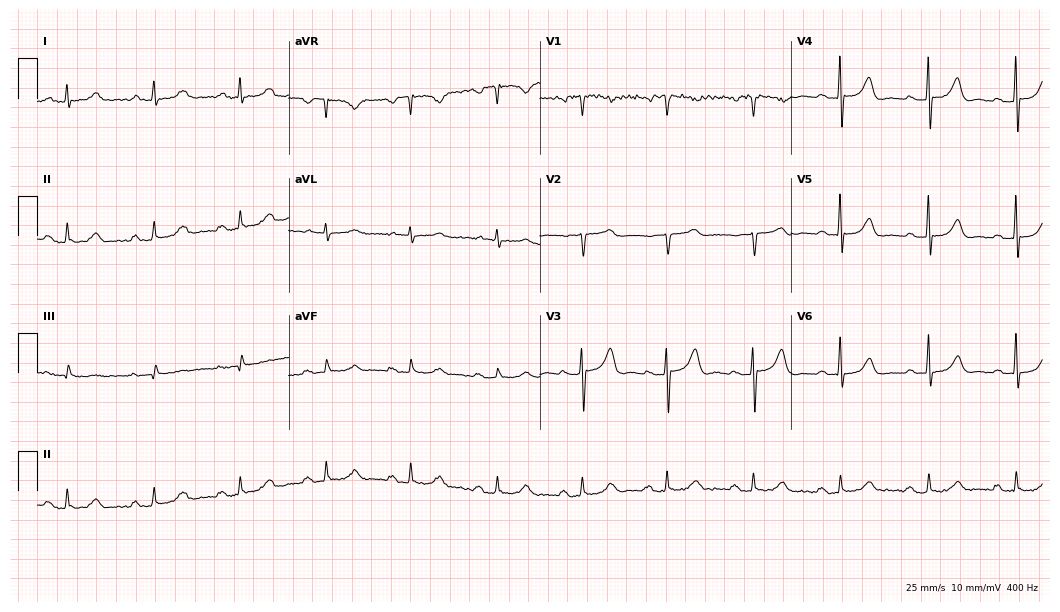
Standard 12-lead ECG recorded from a 76-year-old woman (10.2-second recording at 400 Hz). The tracing shows first-degree AV block.